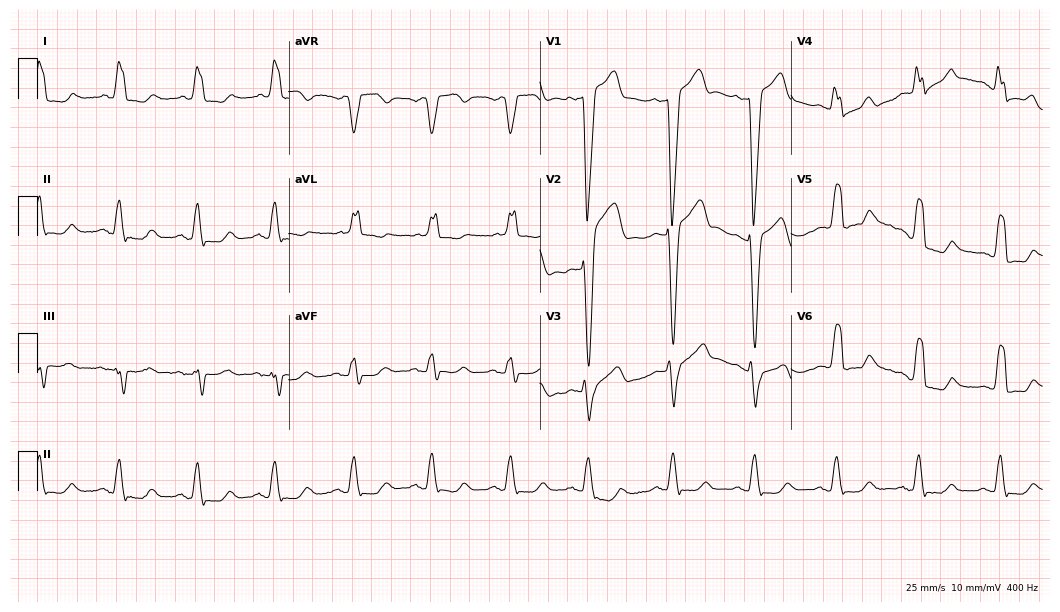
Electrocardiogram (10.2-second recording at 400 Hz), an 83-year-old male patient. Interpretation includes left bundle branch block (LBBB).